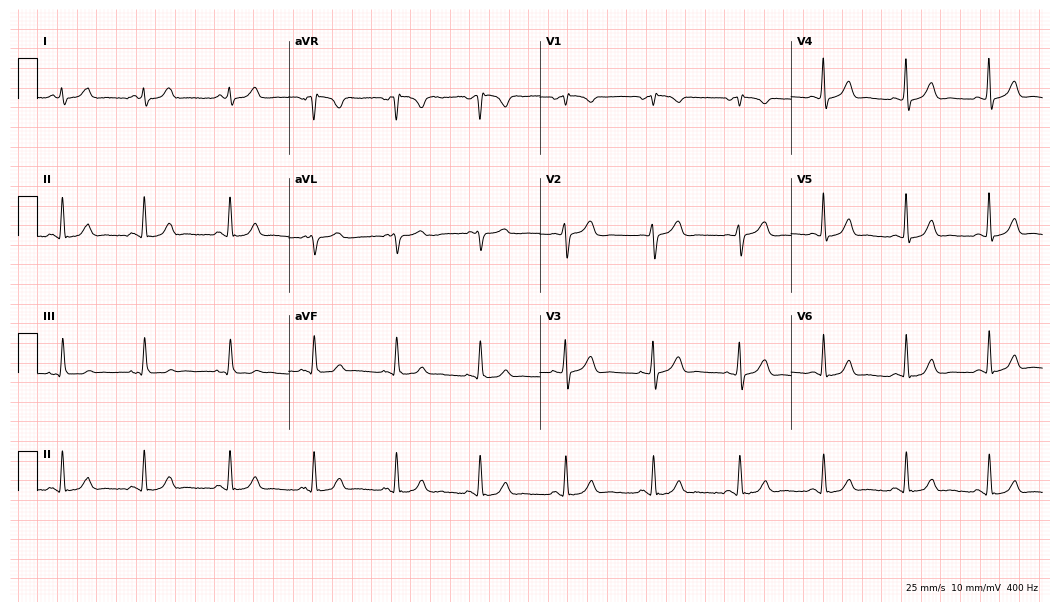
ECG (10.2-second recording at 400 Hz) — a female patient, 58 years old. Labelled as a normal ECG.